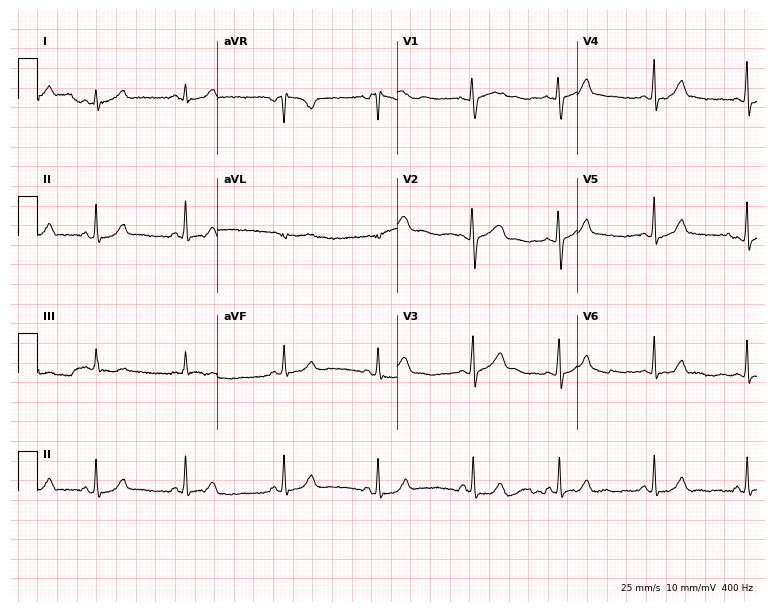
12-lead ECG from a 20-year-old woman. Labelled as a normal ECG.